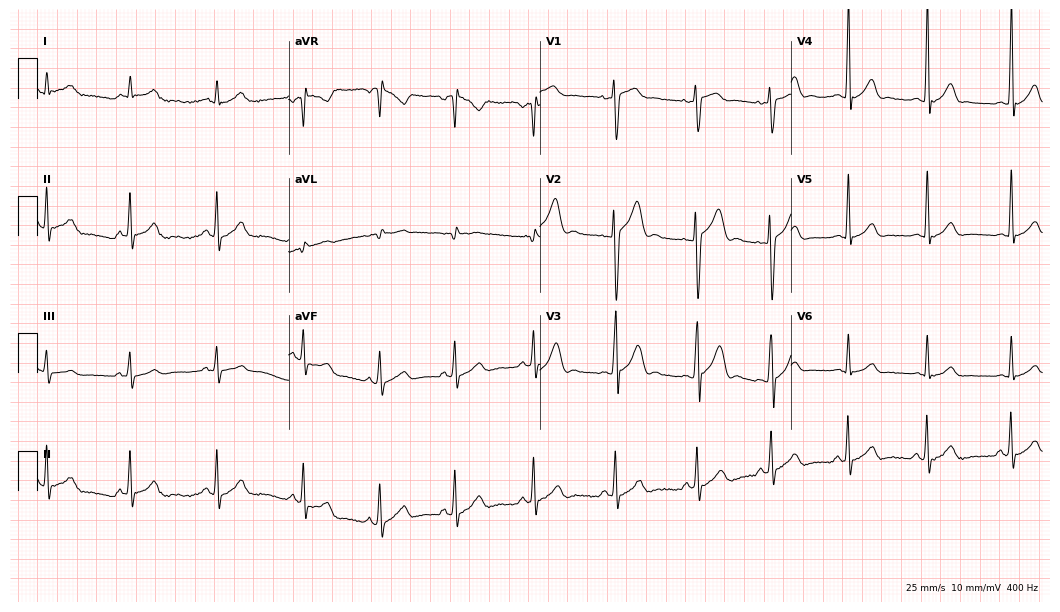
Standard 12-lead ECG recorded from a male patient, 22 years old. Read as a normal ECG.